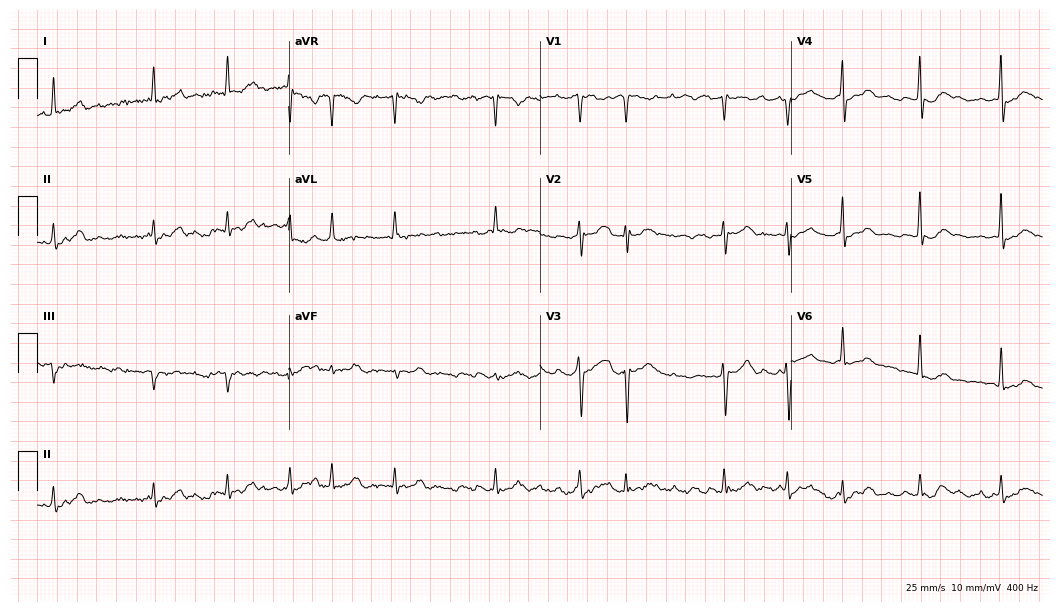
Standard 12-lead ECG recorded from a 59-year-old female patient. None of these six findings is recorded: first-degree AV block, right bundle branch block, left bundle branch block, sinus bradycardia, atrial fibrillation, sinus tachycardia. Only these six findings were labelled.